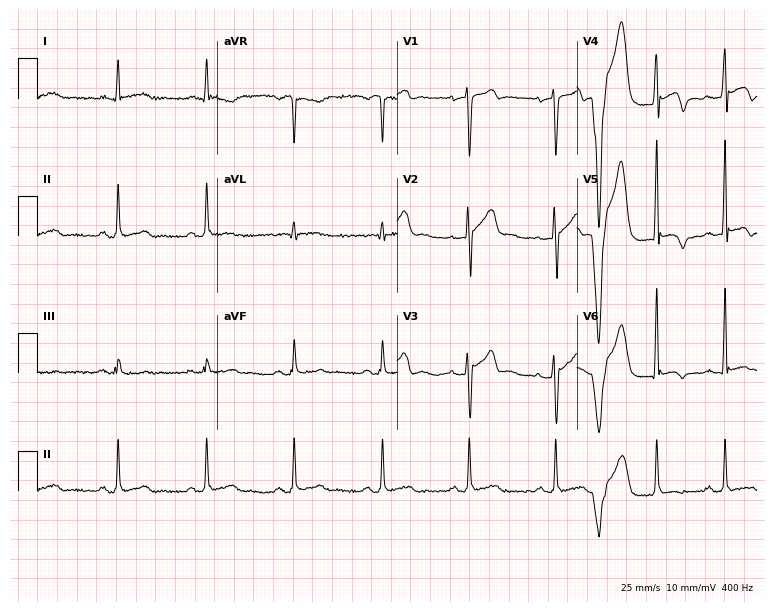
Standard 12-lead ECG recorded from a male patient, 55 years old. None of these six findings is recorded: first-degree AV block, right bundle branch block, left bundle branch block, sinus bradycardia, atrial fibrillation, sinus tachycardia. Only these six findings were labelled.